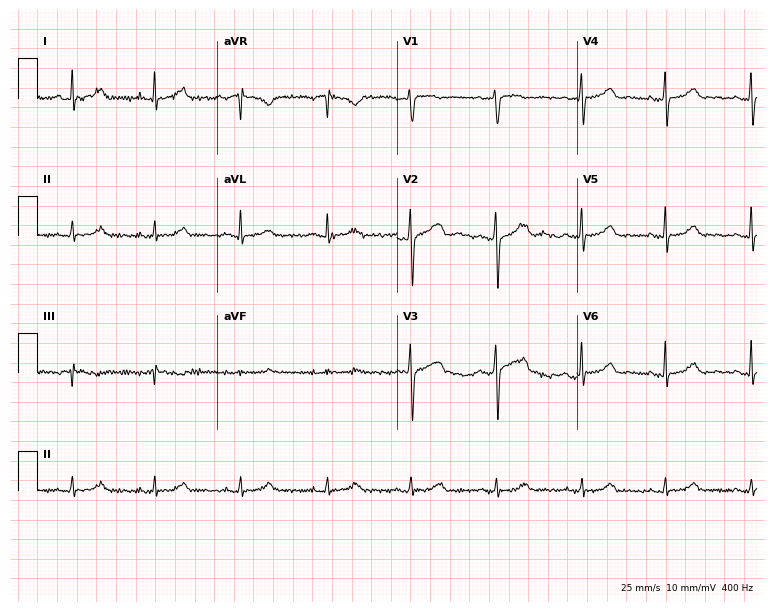
Resting 12-lead electrocardiogram (7.3-second recording at 400 Hz). Patient: a 55-year-old female. Read as a normal ECG.